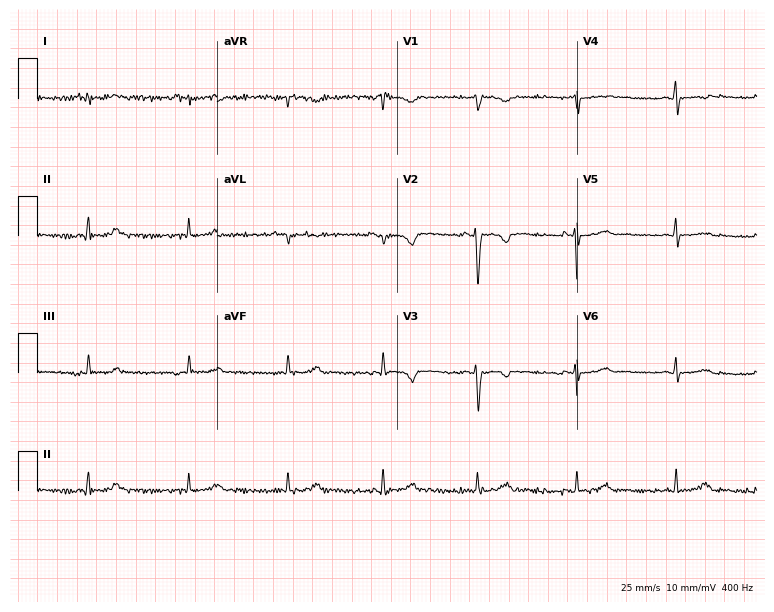
Electrocardiogram (7.3-second recording at 400 Hz), a 22-year-old female patient. Of the six screened findings (first-degree AV block, right bundle branch block, left bundle branch block, sinus bradycardia, atrial fibrillation, sinus tachycardia), none is recorded. Findings outside these six are not listed.